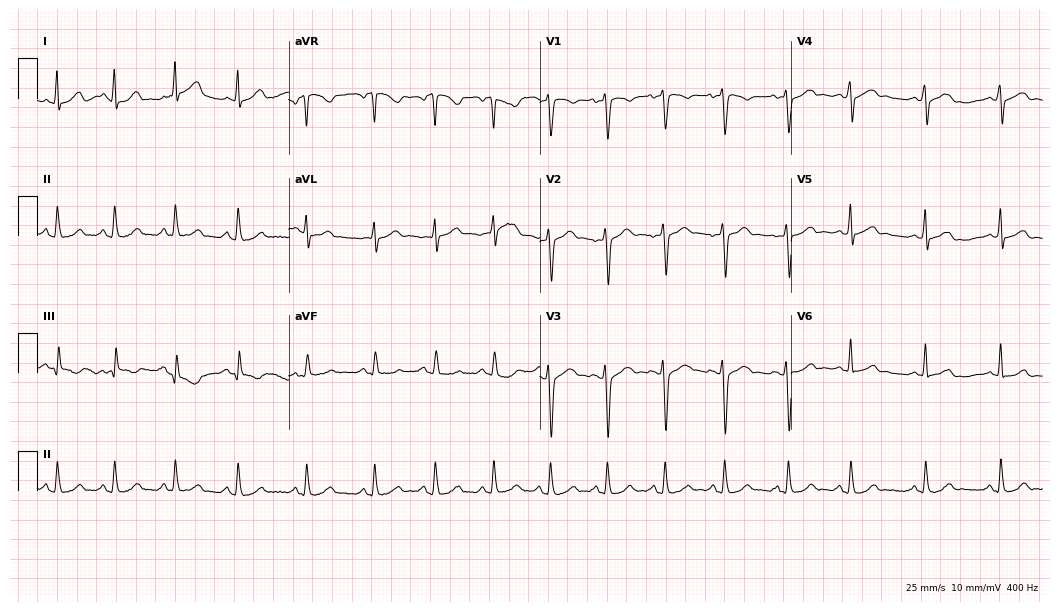
12-lead ECG from a 25-year-old woman. Labelled as a normal ECG.